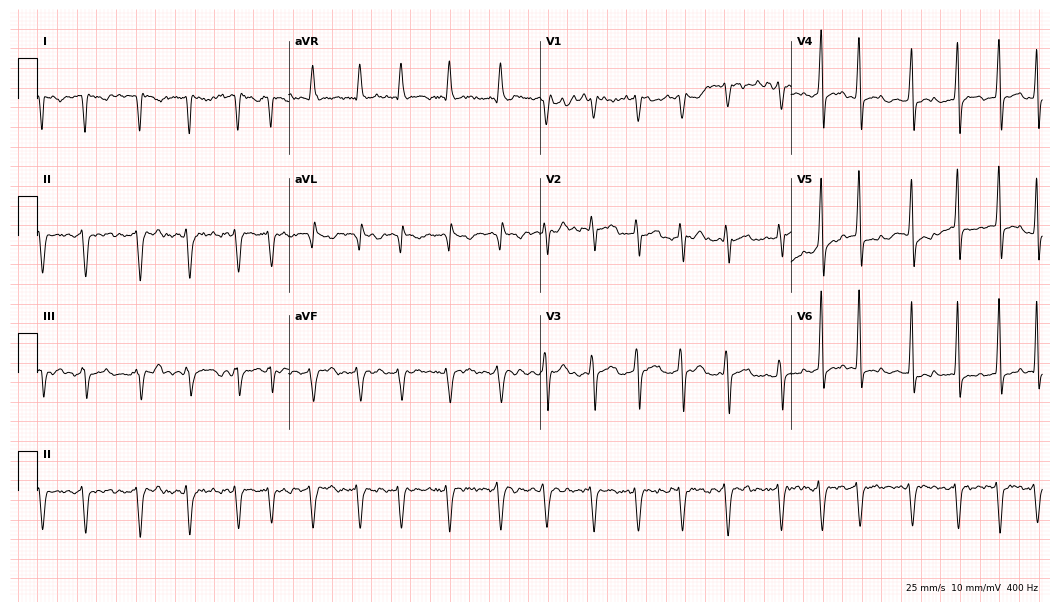
Resting 12-lead electrocardiogram (10.2-second recording at 400 Hz). Patient: a 48-year-old man. The tracing shows atrial fibrillation (AF), sinus tachycardia (a sinus rate of 100 beats per minute or more).